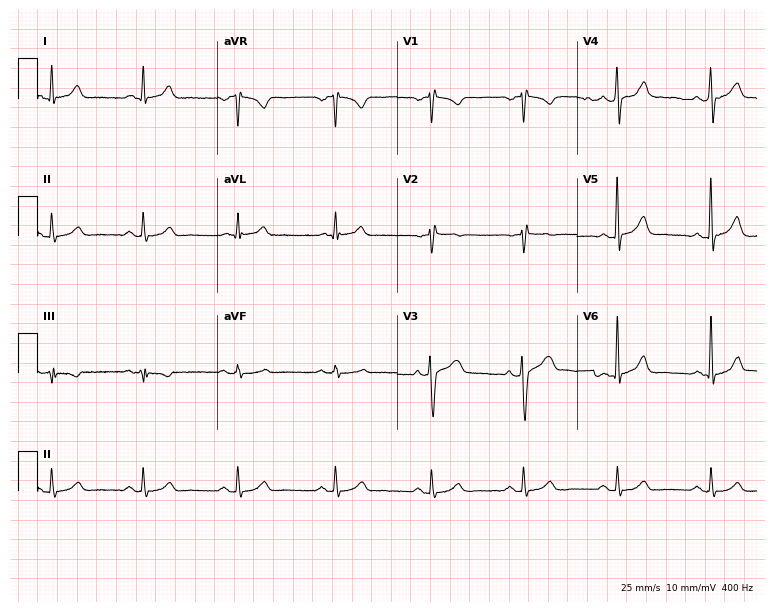
12-lead ECG from a man, 46 years old. No first-degree AV block, right bundle branch block (RBBB), left bundle branch block (LBBB), sinus bradycardia, atrial fibrillation (AF) or sinus tachycardia recorded for this tracing. Findings outside these six are not listed.